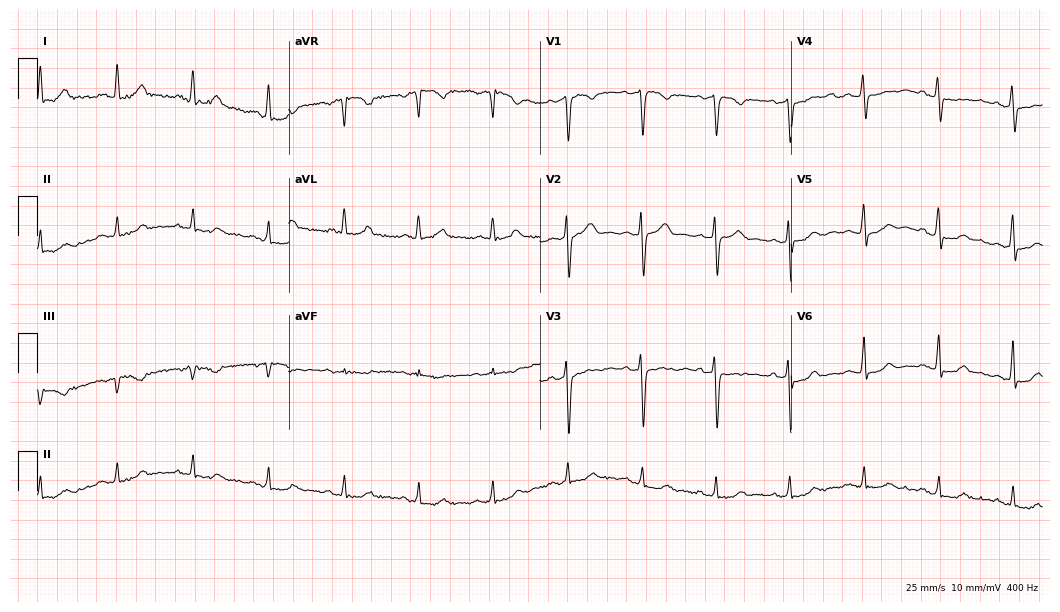
Electrocardiogram, a 60-year-old man. Of the six screened findings (first-degree AV block, right bundle branch block (RBBB), left bundle branch block (LBBB), sinus bradycardia, atrial fibrillation (AF), sinus tachycardia), none is recorded. Only these six findings were labelled.